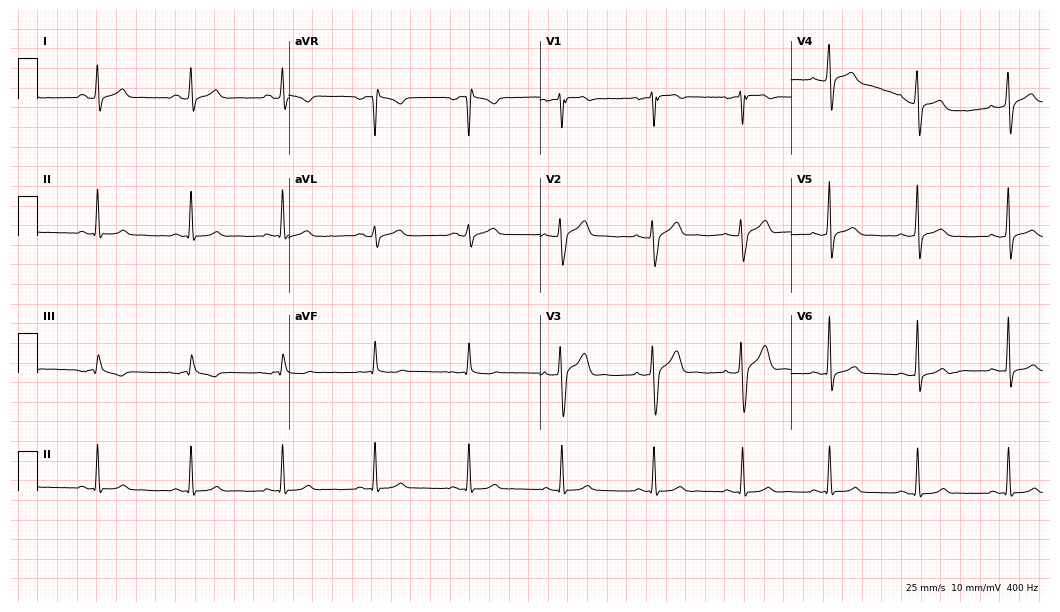
Electrocardiogram, a 39-year-old man. Overall reading on record: normal ECG.